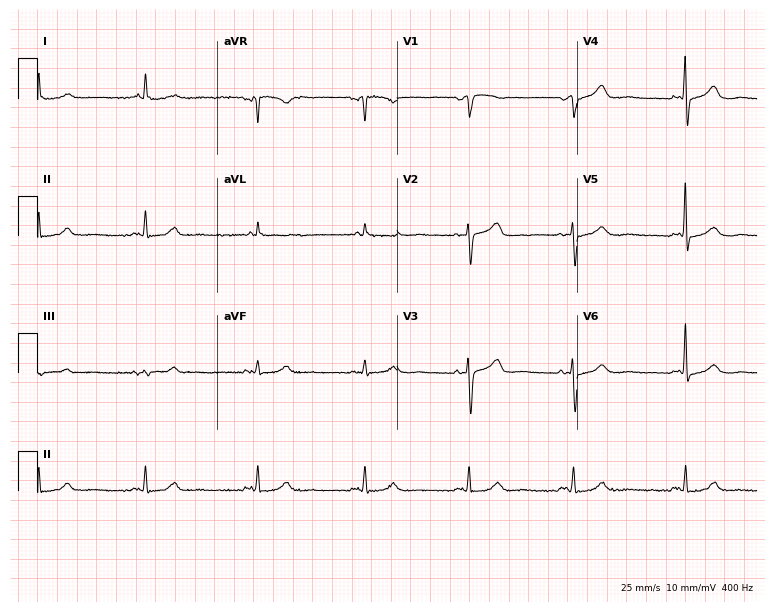
12-lead ECG from a female, 84 years old. Screened for six findings — first-degree AV block, right bundle branch block, left bundle branch block, sinus bradycardia, atrial fibrillation, sinus tachycardia — none is recorded. Findings outside these six are not listed.